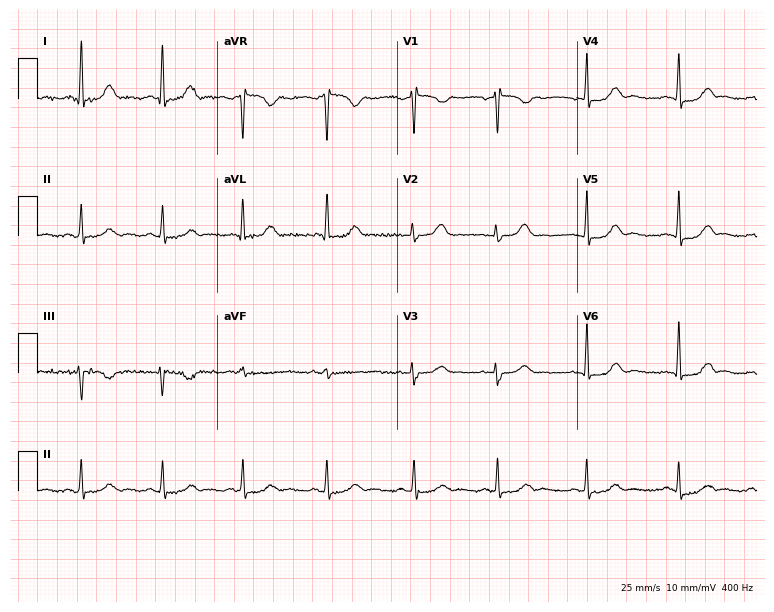
12-lead ECG from a 56-year-old female. Screened for six findings — first-degree AV block, right bundle branch block, left bundle branch block, sinus bradycardia, atrial fibrillation, sinus tachycardia — none is recorded.